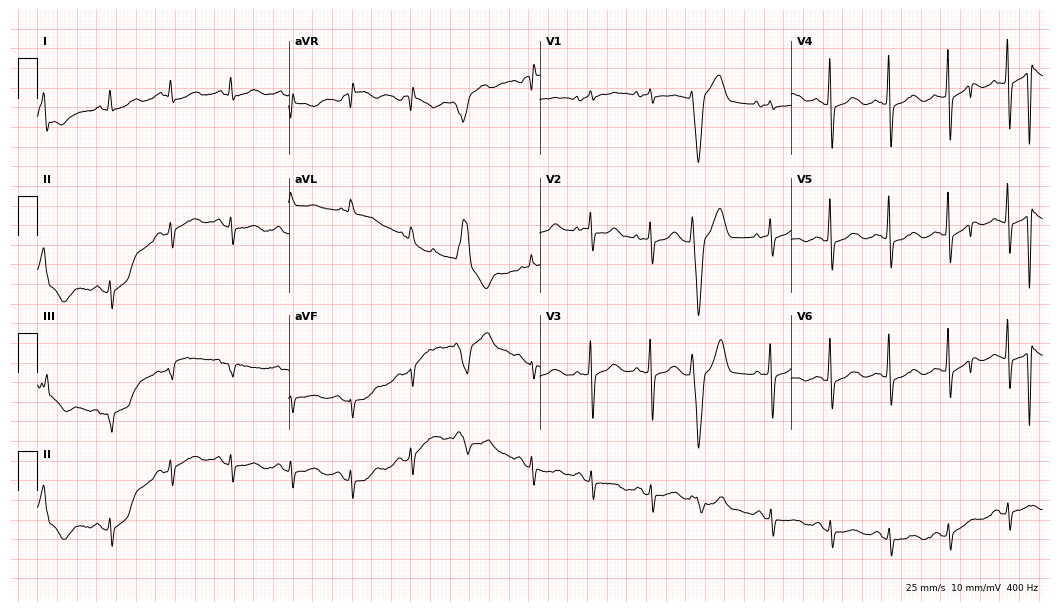
12-lead ECG from a female patient, 70 years old (10.2-second recording at 400 Hz). Recorded interpretation: within normal limits.